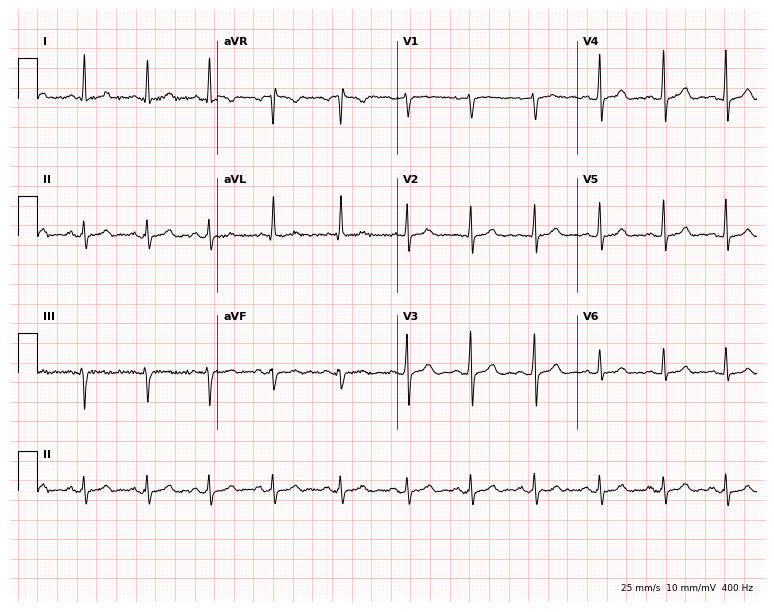
Standard 12-lead ECG recorded from a woman, 43 years old (7.3-second recording at 400 Hz). Read as a normal ECG.